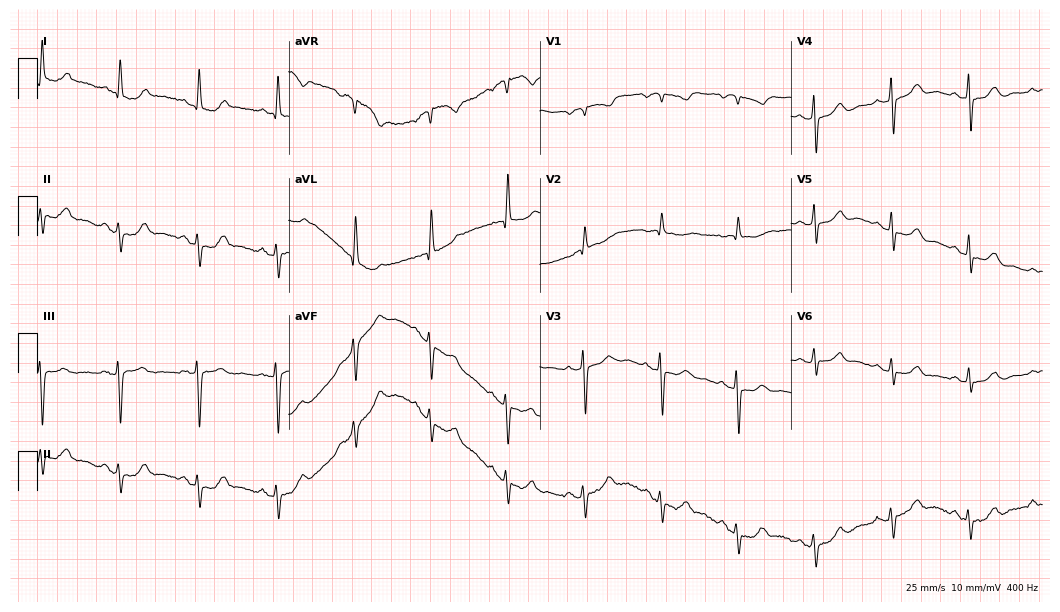
Standard 12-lead ECG recorded from a woman, 72 years old. Read as a normal ECG.